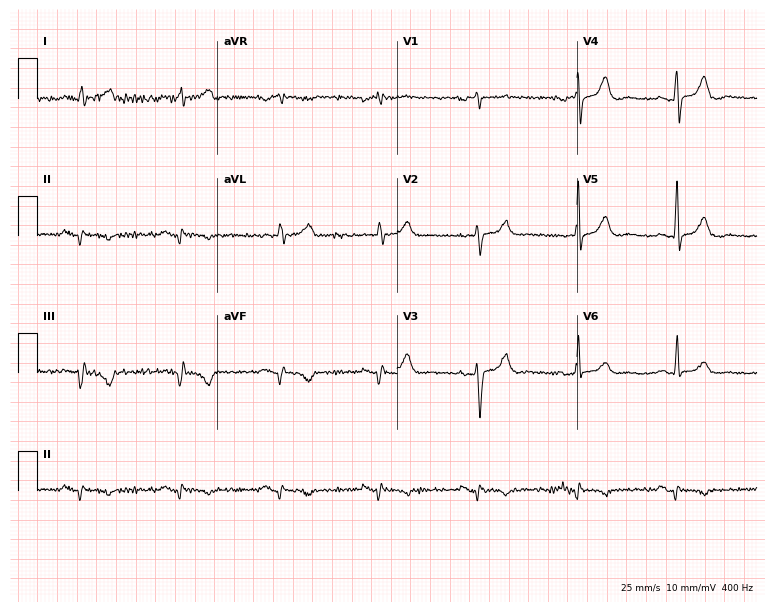
Electrocardiogram (7.3-second recording at 400 Hz), a 58-year-old man. Interpretation includes sinus bradycardia (a sinus rate of 50 beats per minute or less).